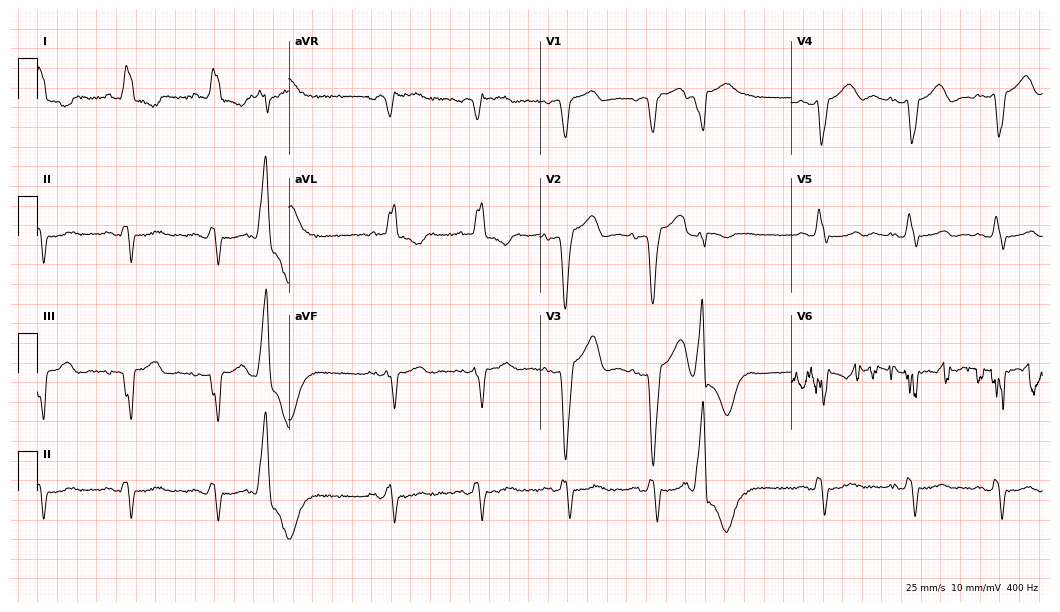
Resting 12-lead electrocardiogram. Patient: a 79-year-old woman. The tracing shows left bundle branch block.